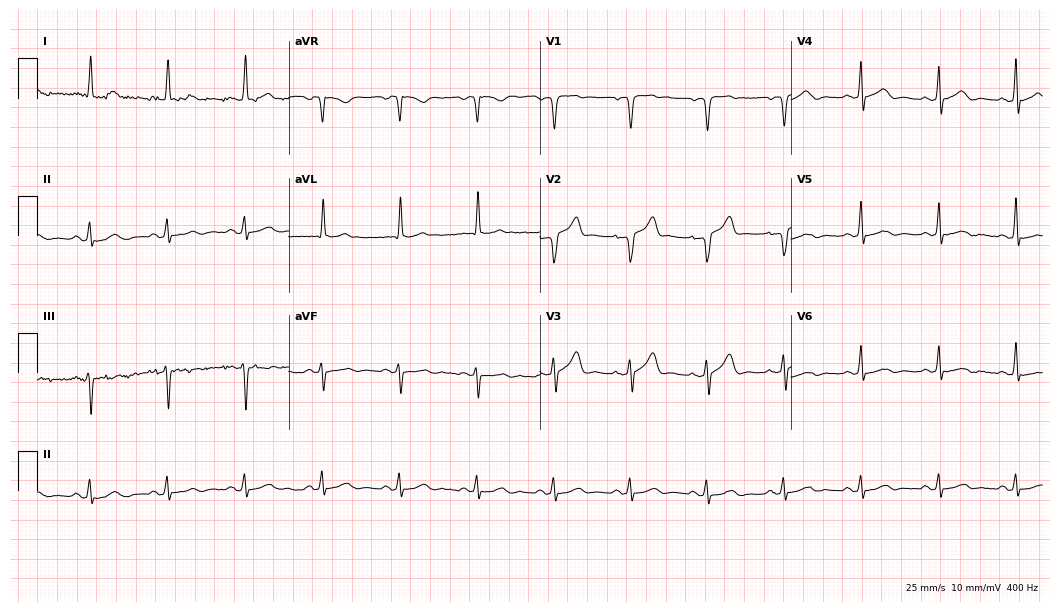
Standard 12-lead ECG recorded from a 74-year-old male patient. None of these six findings is recorded: first-degree AV block, right bundle branch block, left bundle branch block, sinus bradycardia, atrial fibrillation, sinus tachycardia. Other findings, if any, are not listed.